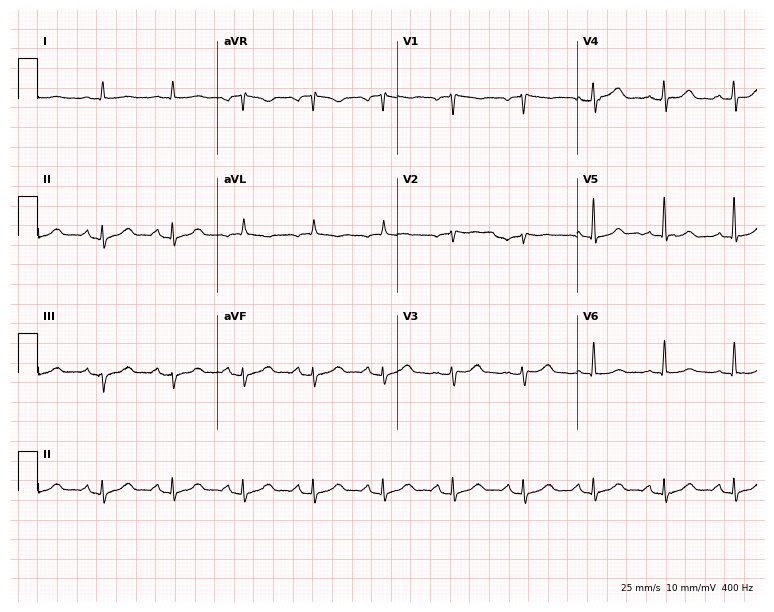
Electrocardiogram (7.3-second recording at 400 Hz), a male patient, 85 years old. Of the six screened findings (first-degree AV block, right bundle branch block (RBBB), left bundle branch block (LBBB), sinus bradycardia, atrial fibrillation (AF), sinus tachycardia), none is recorded.